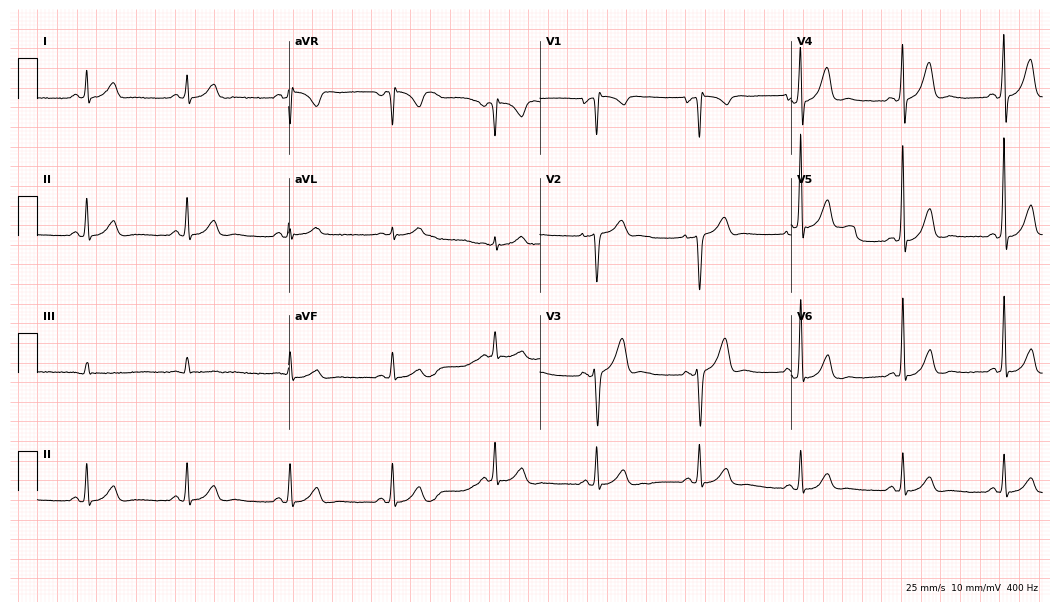
Resting 12-lead electrocardiogram (10.2-second recording at 400 Hz). Patient: a 57-year-old male. Read as a normal ECG.